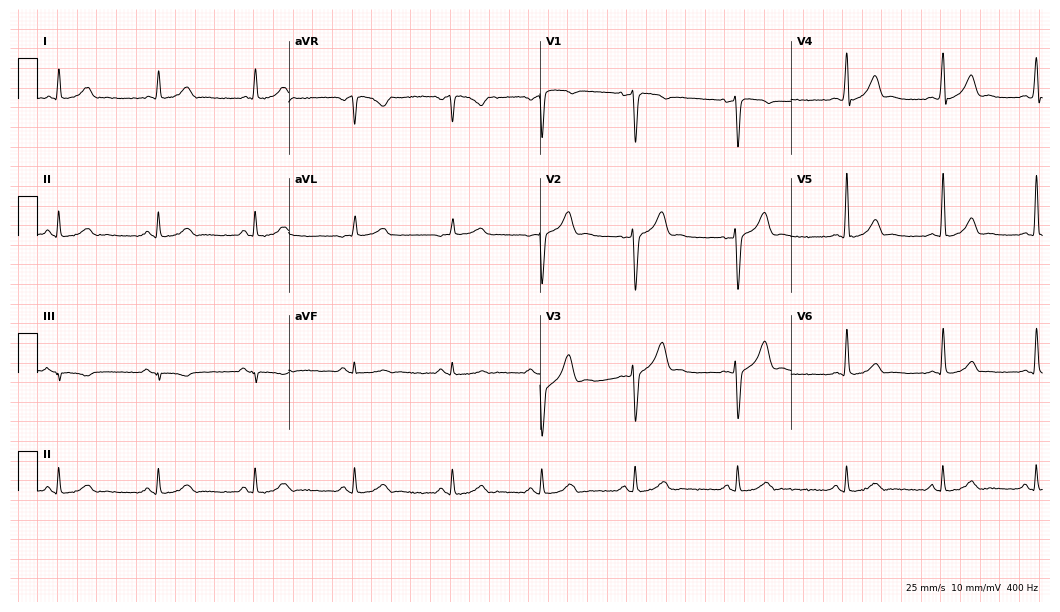
ECG (10.2-second recording at 400 Hz) — a male, 43 years old. Screened for six findings — first-degree AV block, right bundle branch block, left bundle branch block, sinus bradycardia, atrial fibrillation, sinus tachycardia — none is recorded.